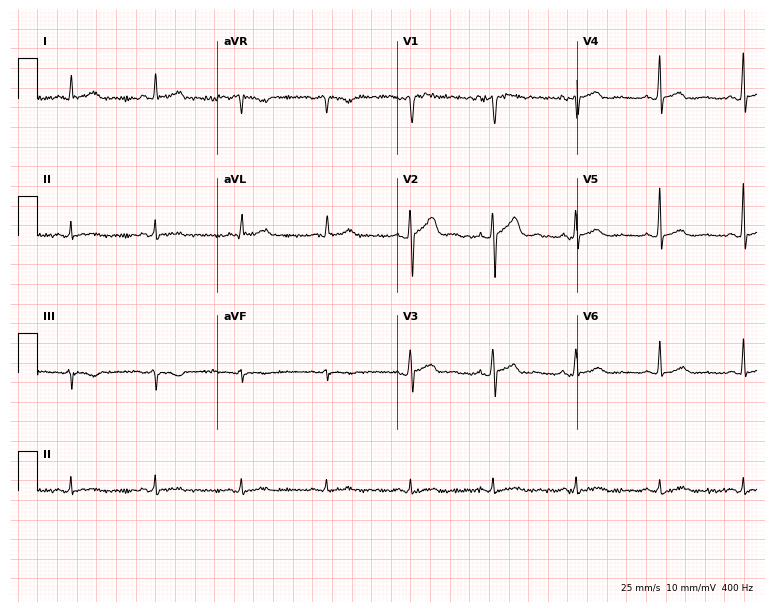
ECG — a 50-year-old man. Screened for six findings — first-degree AV block, right bundle branch block, left bundle branch block, sinus bradycardia, atrial fibrillation, sinus tachycardia — none is recorded. Findings outside these six are not listed.